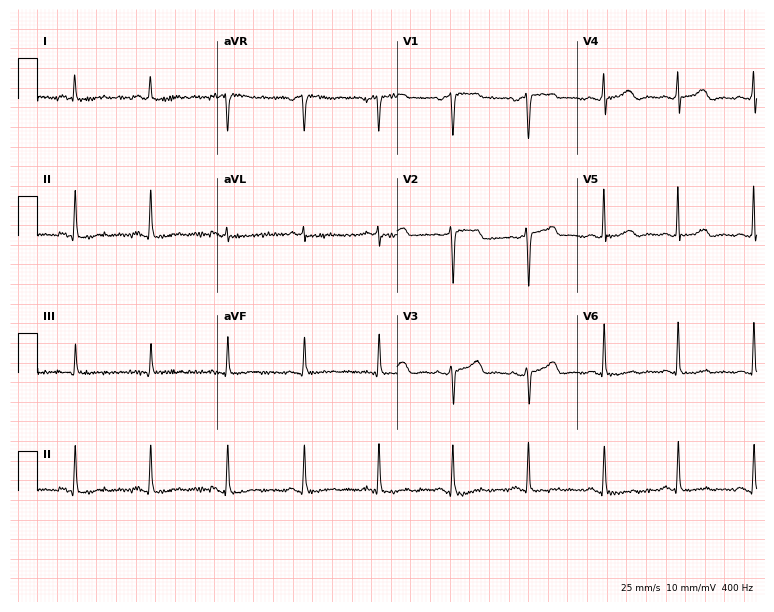
Resting 12-lead electrocardiogram (7.3-second recording at 400 Hz). Patient: a 70-year-old woman. None of these six findings is recorded: first-degree AV block, right bundle branch block (RBBB), left bundle branch block (LBBB), sinus bradycardia, atrial fibrillation (AF), sinus tachycardia. Only these six findings were labelled.